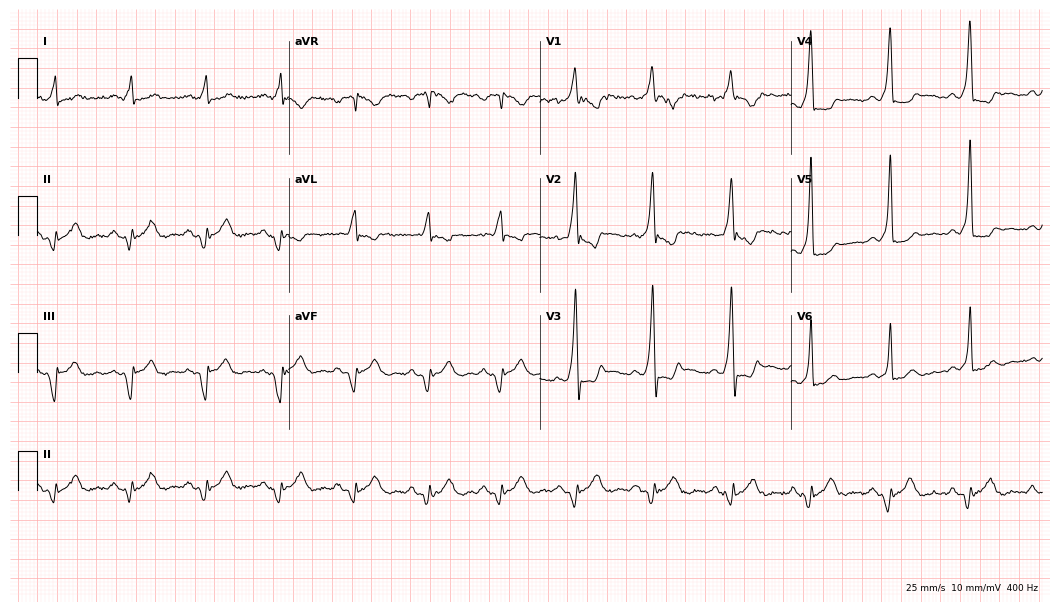
12-lead ECG from a 52-year-old male patient. Shows right bundle branch block.